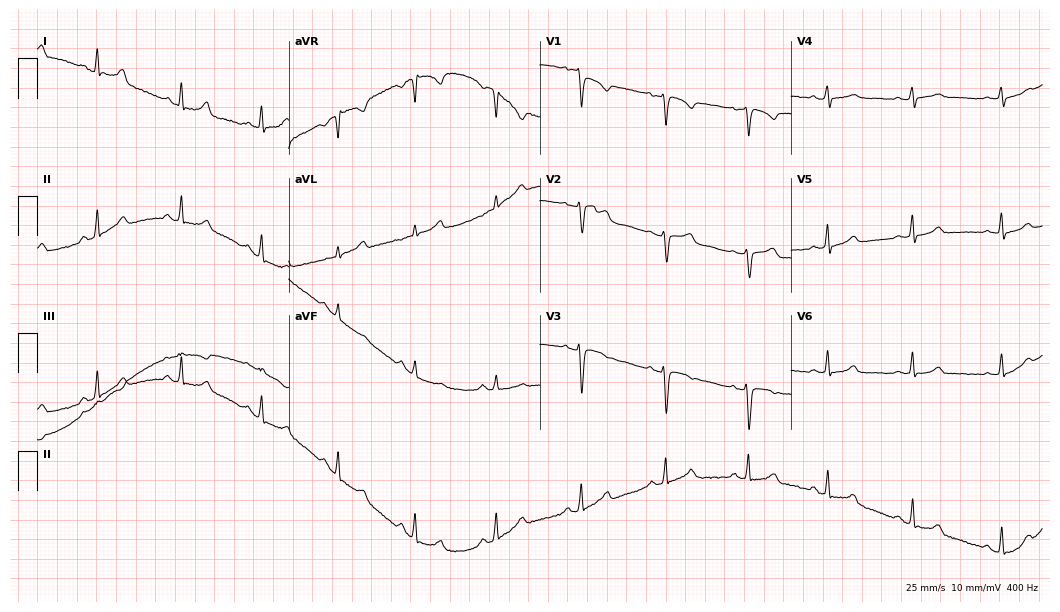
Standard 12-lead ECG recorded from a woman, 41 years old (10.2-second recording at 400 Hz). Read as a normal ECG.